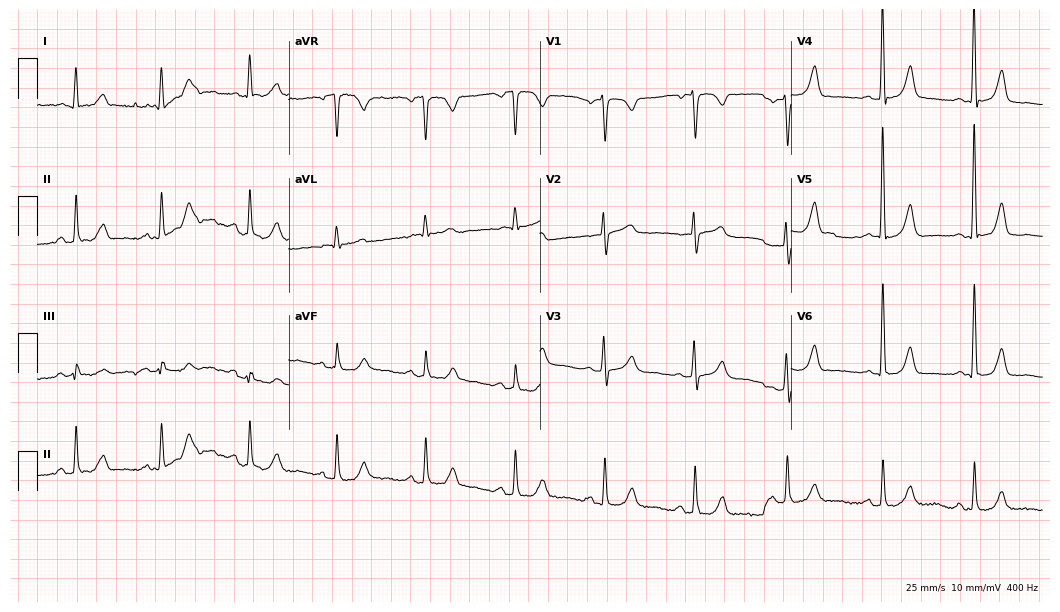
Resting 12-lead electrocardiogram. Patient: a woman, 68 years old. None of these six findings is recorded: first-degree AV block, right bundle branch block (RBBB), left bundle branch block (LBBB), sinus bradycardia, atrial fibrillation (AF), sinus tachycardia. Findings outside these six are not listed.